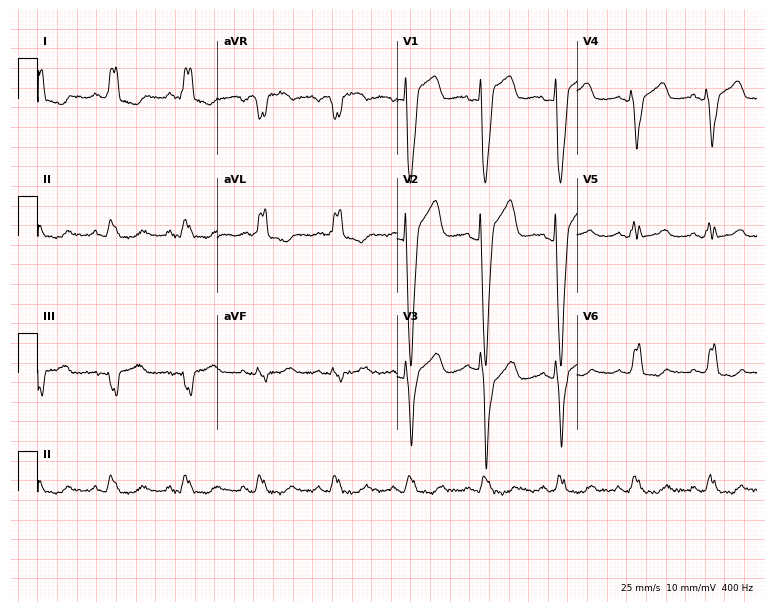
Resting 12-lead electrocardiogram. Patient: an 80-year-old female. The tracing shows left bundle branch block.